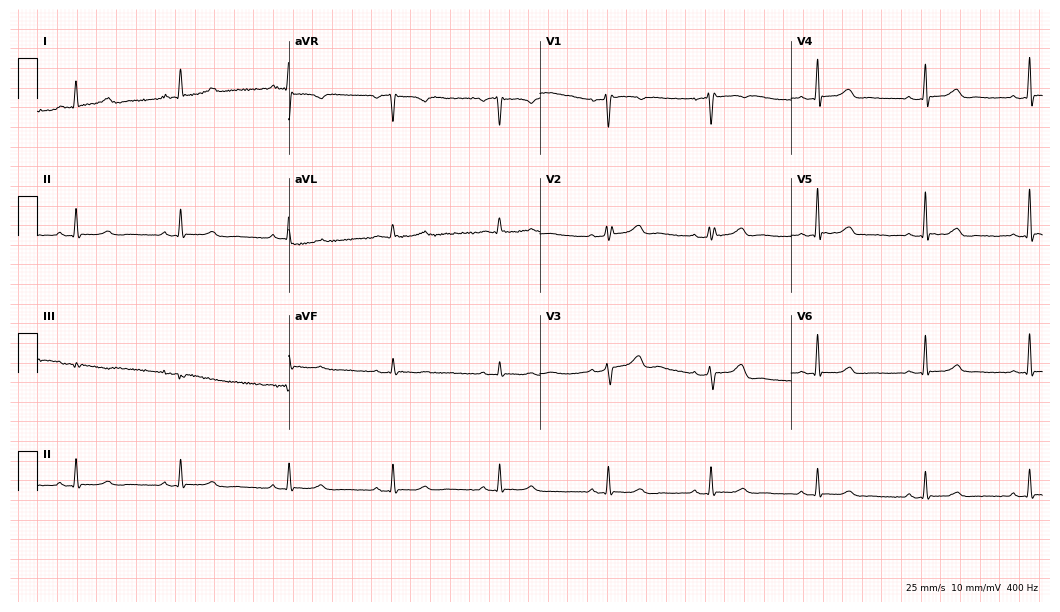
ECG — a female patient, 39 years old. Labelled as a normal ECG.